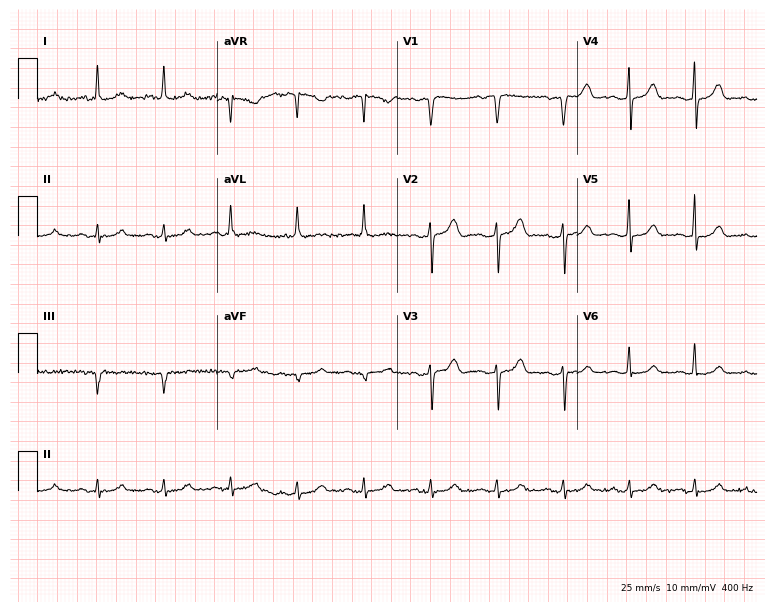
Resting 12-lead electrocardiogram. Patient: a 75-year-old woman. Read as a normal ECG.